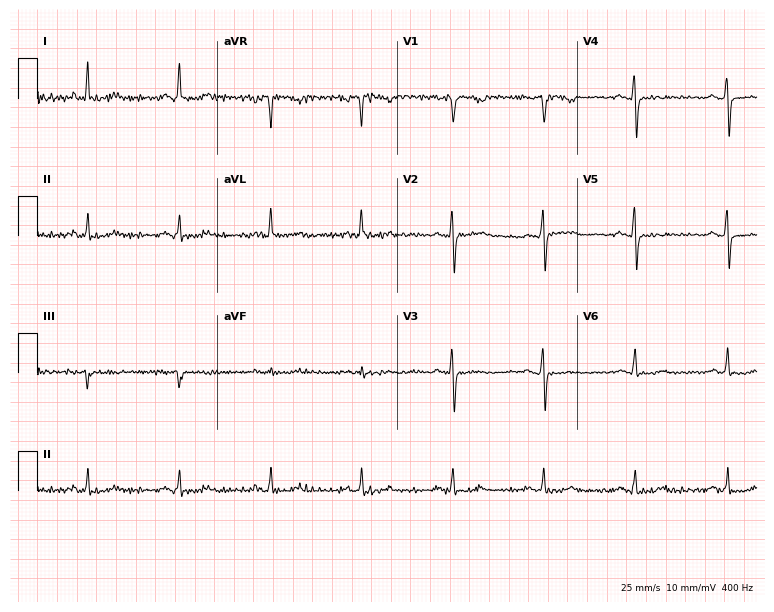
Electrocardiogram (7.3-second recording at 400 Hz), a female patient, 66 years old. Overall reading on record: normal ECG.